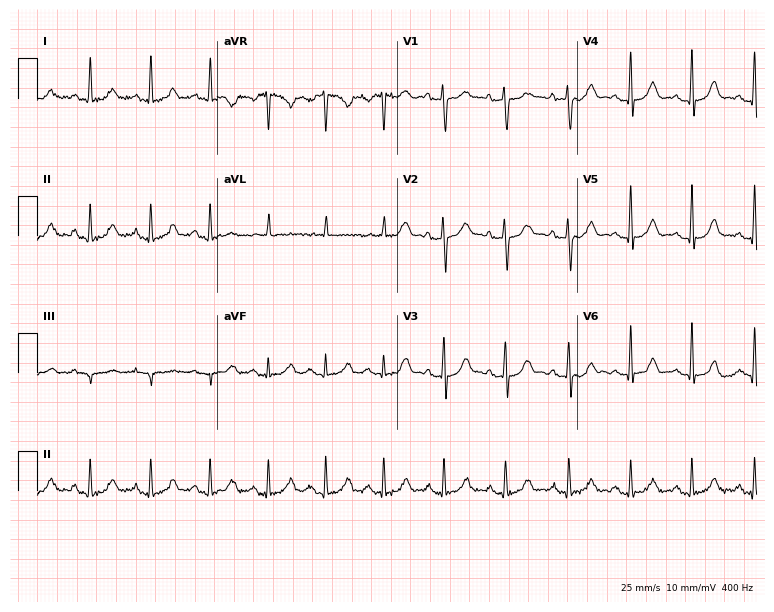
ECG (7.3-second recording at 400 Hz) — a 38-year-old female. Labelled as a normal ECG.